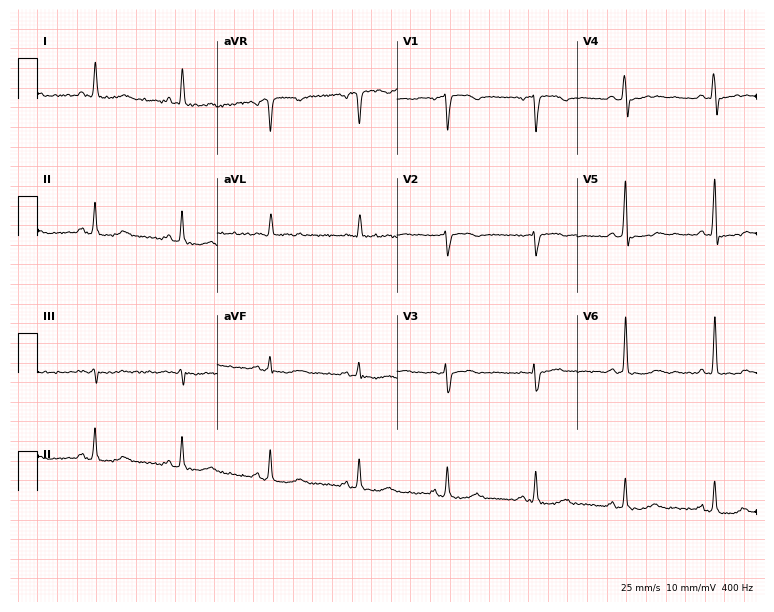
12-lead ECG from a female patient, 64 years old (7.3-second recording at 400 Hz). No first-degree AV block, right bundle branch block, left bundle branch block, sinus bradycardia, atrial fibrillation or sinus tachycardia recorded for this tracing.